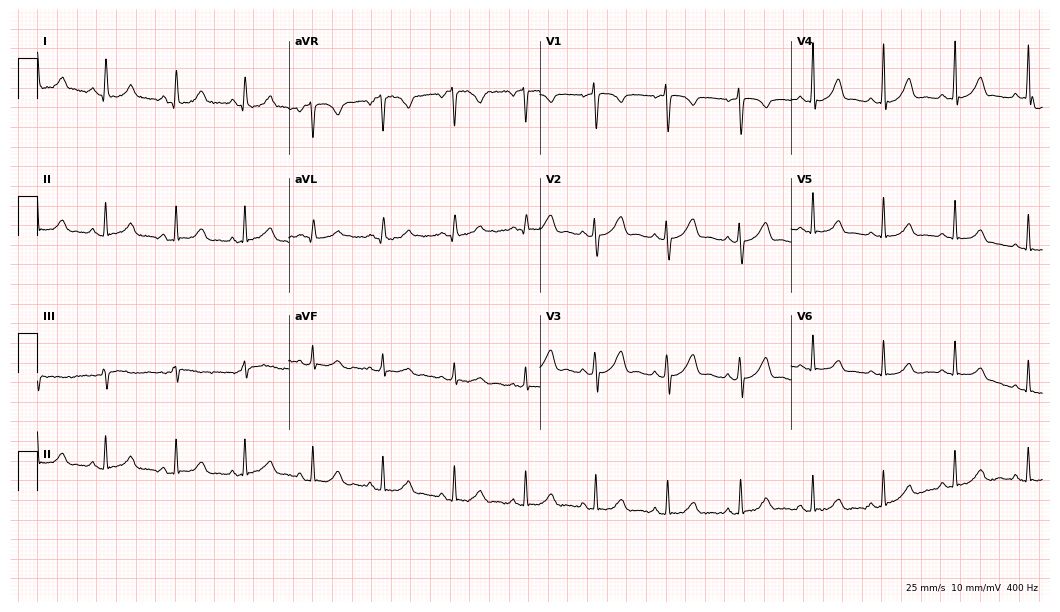
Resting 12-lead electrocardiogram (10.2-second recording at 400 Hz). Patient: a female, 17 years old. Read as a normal ECG.